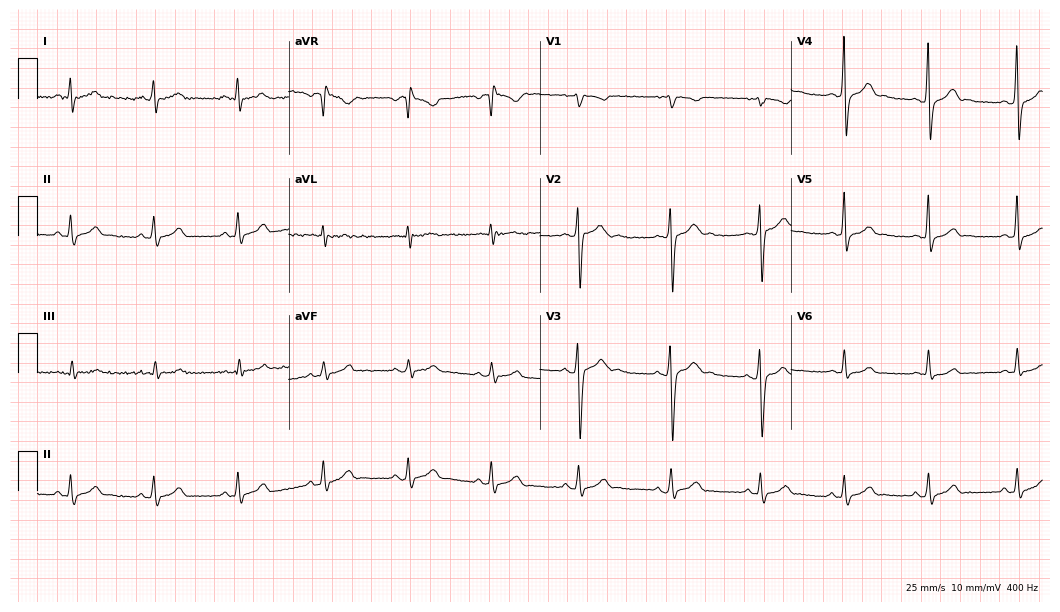
12-lead ECG from a 24-year-old man. Labelled as a normal ECG.